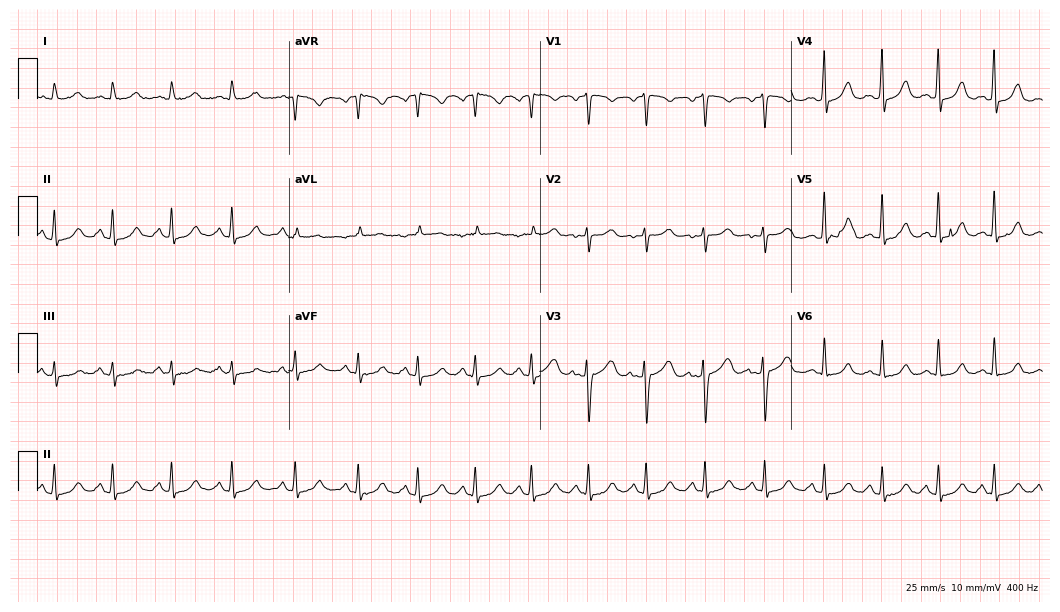
Resting 12-lead electrocardiogram. Patient: a female, 35 years old. Read as a normal ECG.